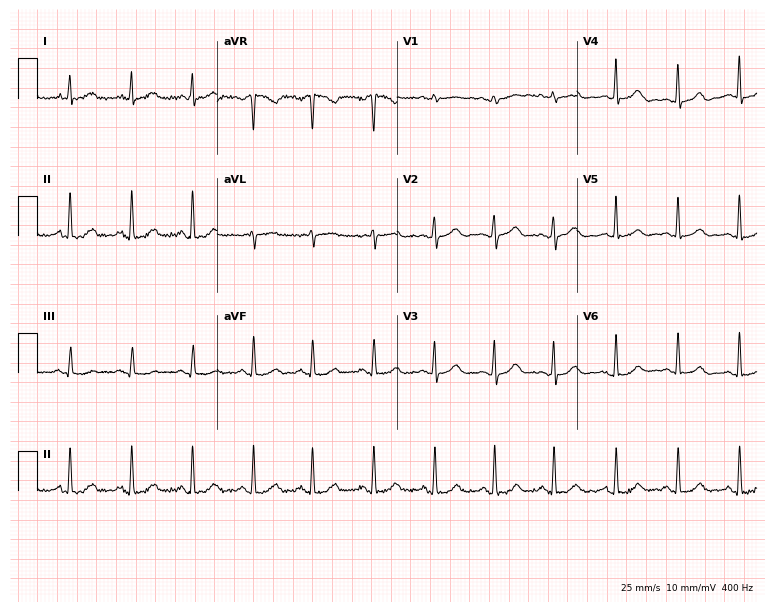
Resting 12-lead electrocardiogram (7.3-second recording at 400 Hz). Patient: a male, 34 years old. Read as a normal ECG.